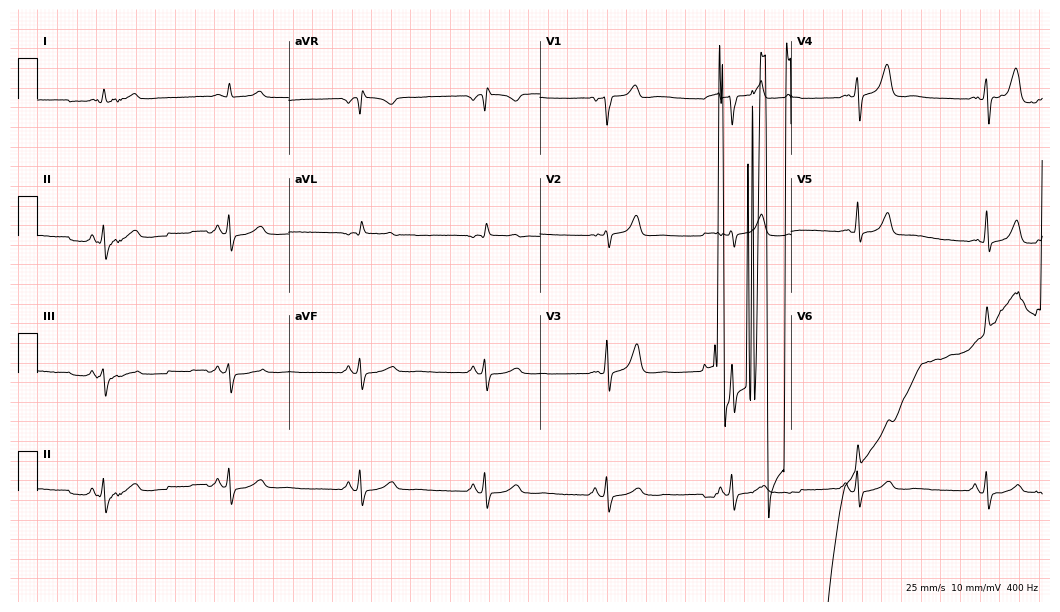
Electrocardiogram, a 58-year-old male patient. Of the six screened findings (first-degree AV block, right bundle branch block (RBBB), left bundle branch block (LBBB), sinus bradycardia, atrial fibrillation (AF), sinus tachycardia), none is recorded.